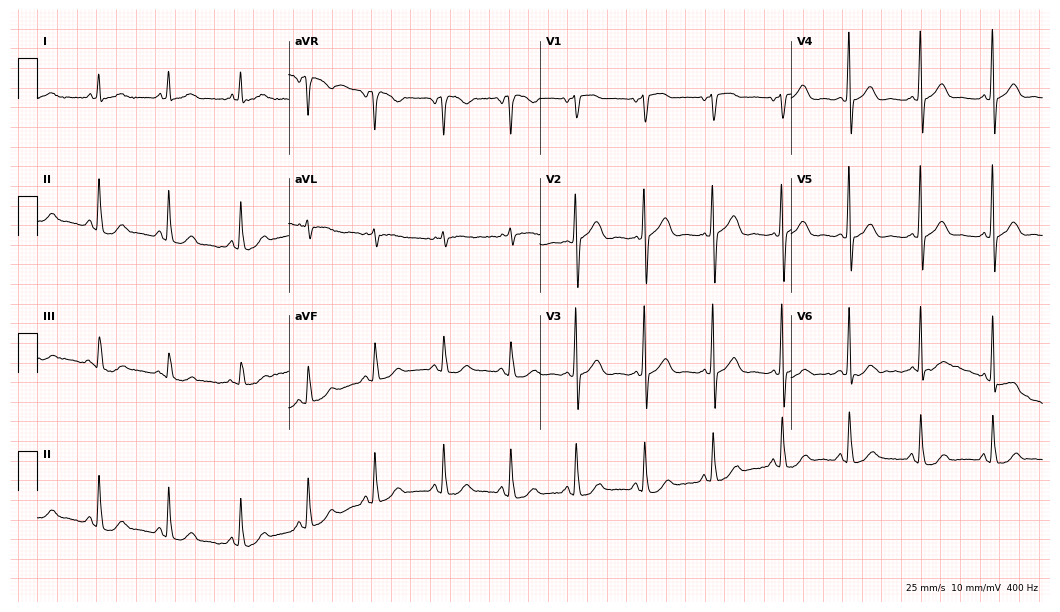
Electrocardiogram, a 61-year-old female. Overall reading on record: normal ECG.